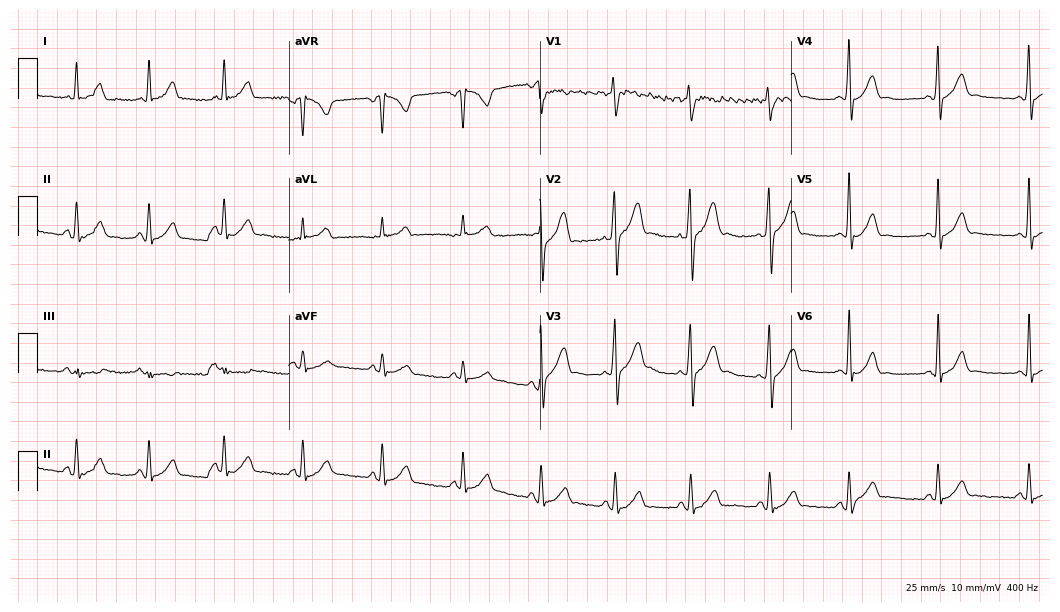
Resting 12-lead electrocardiogram. Patient: a 29-year-old male. Read as a normal ECG.